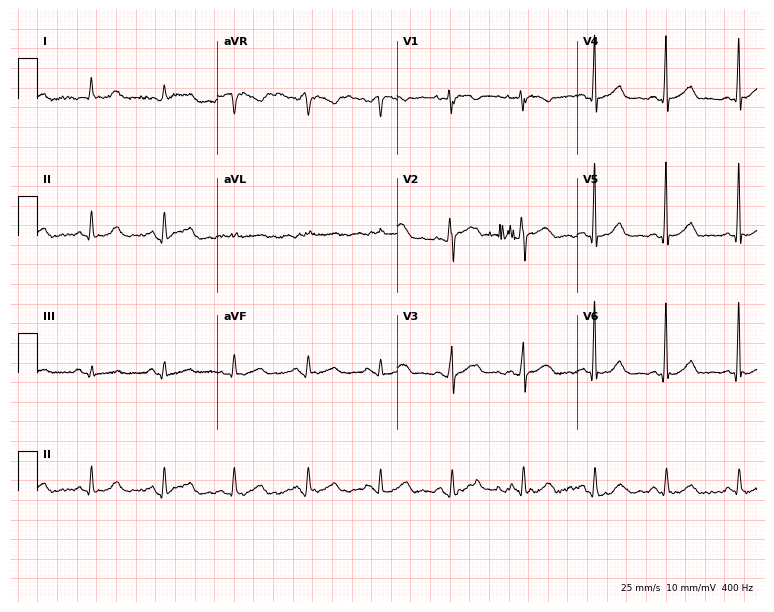
ECG (7.3-second recording at 400 Hz) — a 54-year-old female patient. Labelled as a normal ECG.